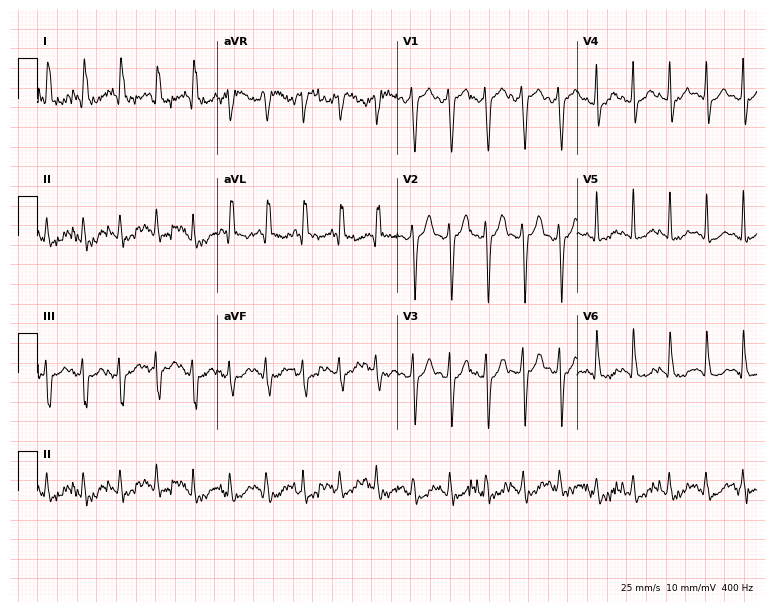
Standard 12-lead ECG recorded from a 64-year-old woman. None of these six findings is recorded: first-degree AV block, right bundle branch block (RBBB), left bundle branch block (LBBB), sinus bradycardia, atrial fibrillation (AF), sinus tachycardia. Only these six findings were labelled.